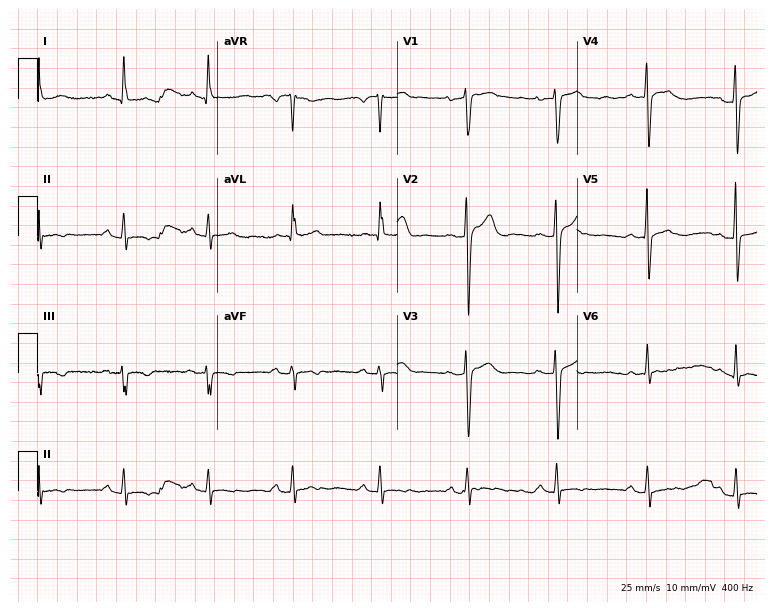
Resting 12-lead electrocardiogram (7.3-second recording at 400 Hz). Patient: a 47-year-old male. None of these six findings is recorded: first-degree AV block, right bundle branch block, left bundle branch block, sinus bradycardia, atrial fibrillation, sinus tachycardia.